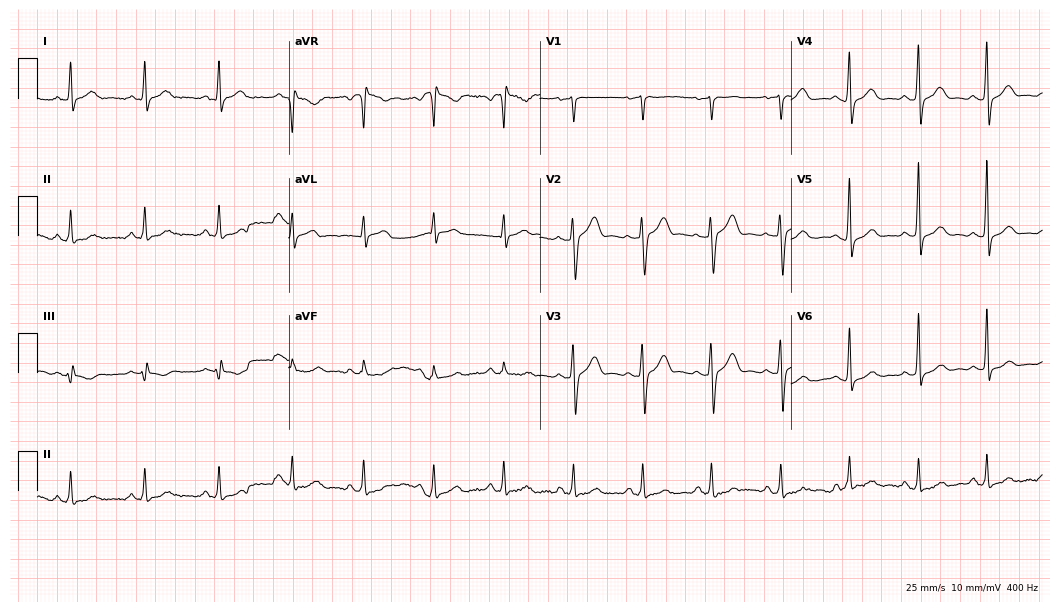
Electrocardiogram (10.2-second recording at 400 Hz), a man, 48 years old. Overall reading on record: normal ECG.